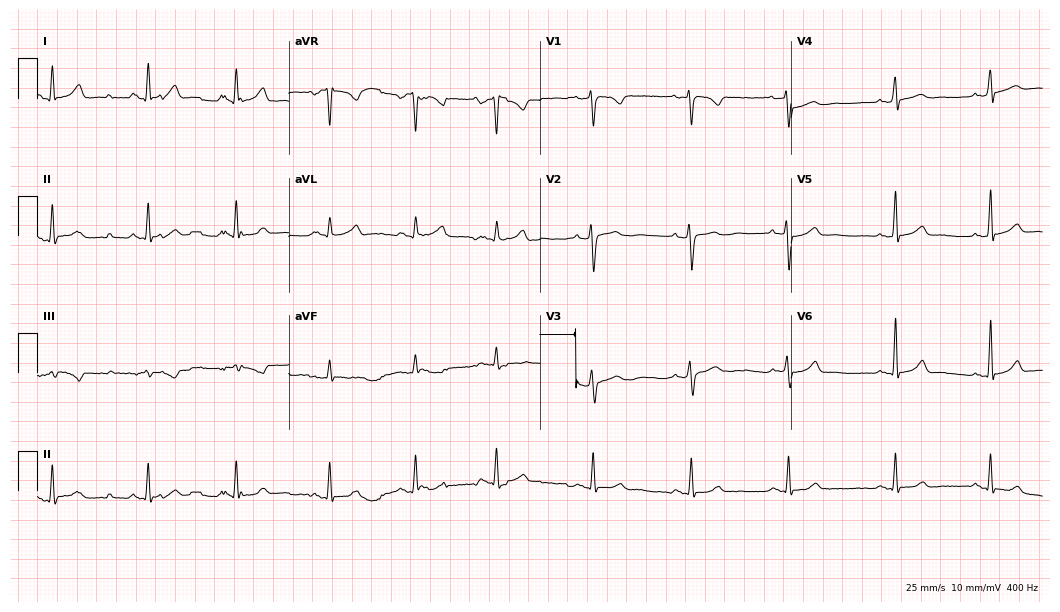
Standard 12-lead ECG recorded from a woman, 27 years old (10.2-second recording at 400 Hz). None of these six findings is recorded: first-degree AV block, right bundle branch block (RBBB), left bundle branch block (LBBB), sinus bradycardia, atrial fibrillation (AF), sinus tachycardia.